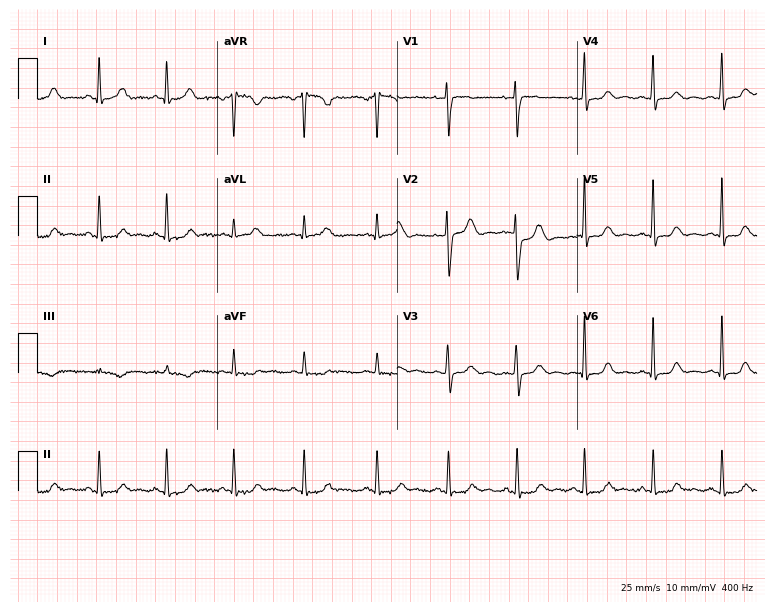
Standard 12-lead ECG recorded from a 34-year-old female. Read as a normal ECG.